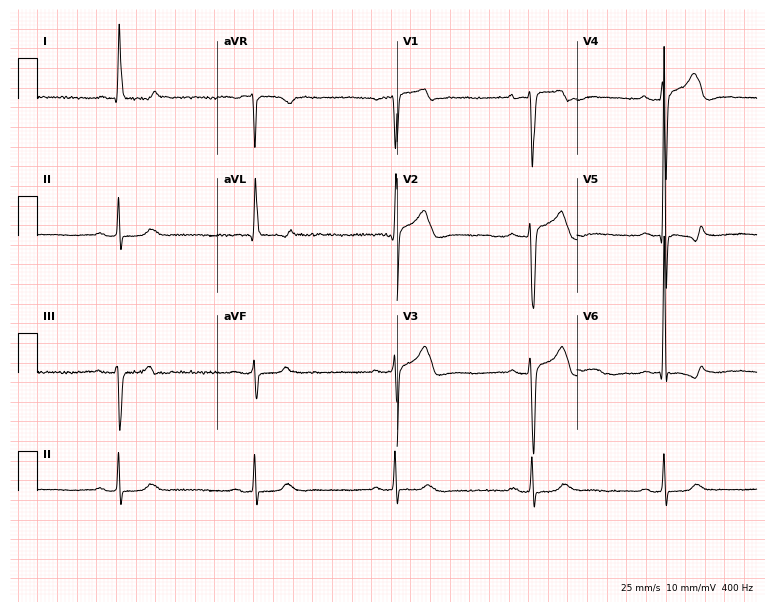
12-lead ECG from an 81-year-old man. Shows first-degree AV block, right bundle branch block, sinus bradycardia (a sinus rate of 50 beats per minute or less).